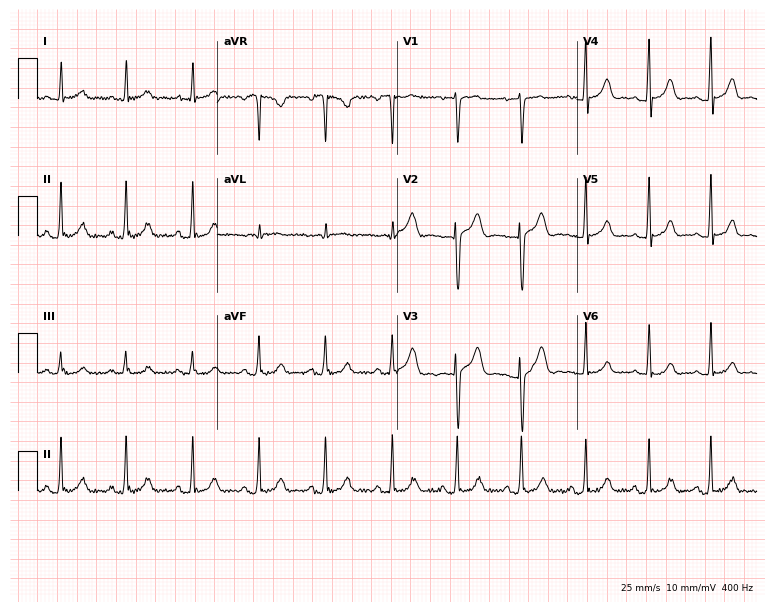
12-lead ECG from a 20-year-old female (7.3-second recording at 400 Hz). No first-degree AV block, right bundle branch block (RBBB), left bundle branch block (LBBB), sinus bradycardia, atrial fibrillation (AF) or sinus tachycardia recorded for this tracing. Other findings, if any, are not listed.